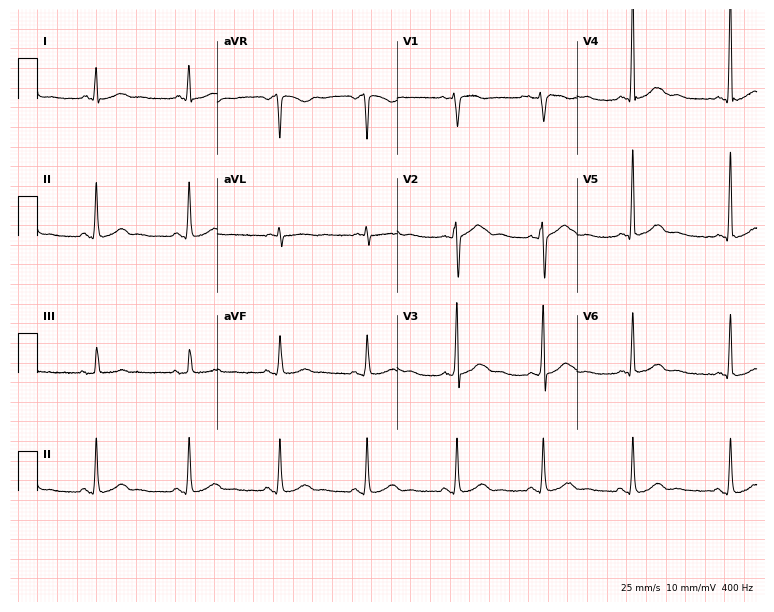
Standard 12-lead ECG recorded from a 38-year-old female. Read as a normal ECG.